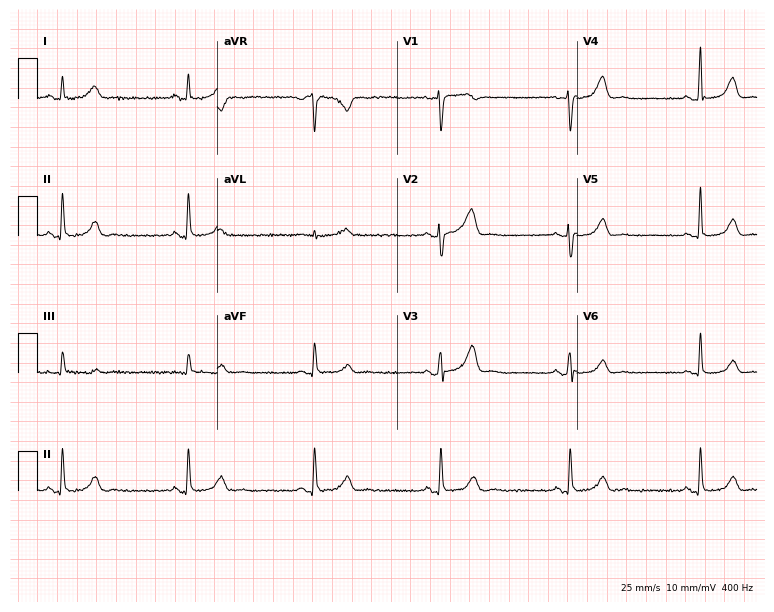
Resting 12-lead electrocardiogram (7.3-second recording at 400 Hz). Patient: a 48-year-old woman. None of these six findings is recorded: first-degree AV block, right bundle branch block, left bundle branch block, sinus bradycardia, atrial fibrillation, sinus tachycardia. Findings outside these six are not listed.